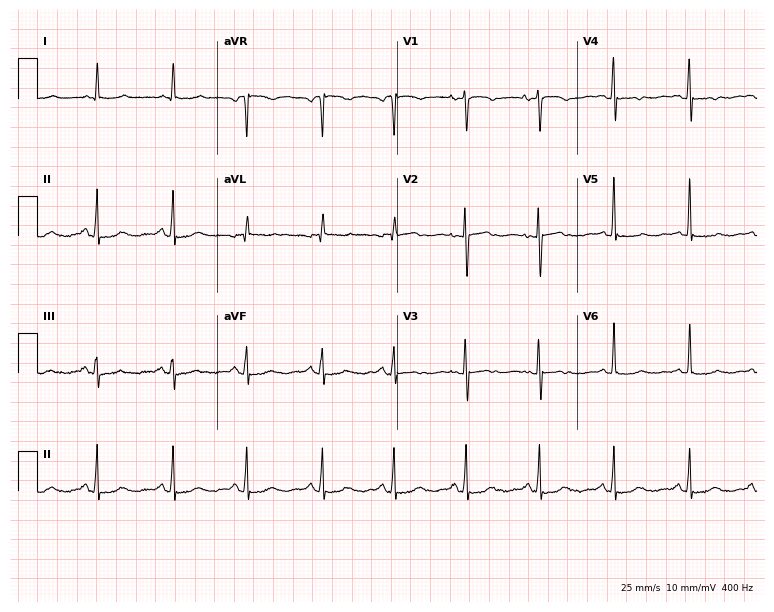
ECG (7.3-second recording at 400 Hz) — a 67-year-old female patient. Screened for six findings — first-degree AV block, right bundle branch block, left bundle branch block, sinus bradycardia, atrial fibrillation, sinus tachycardia — none is recorded. Findings outside these six are not listed.